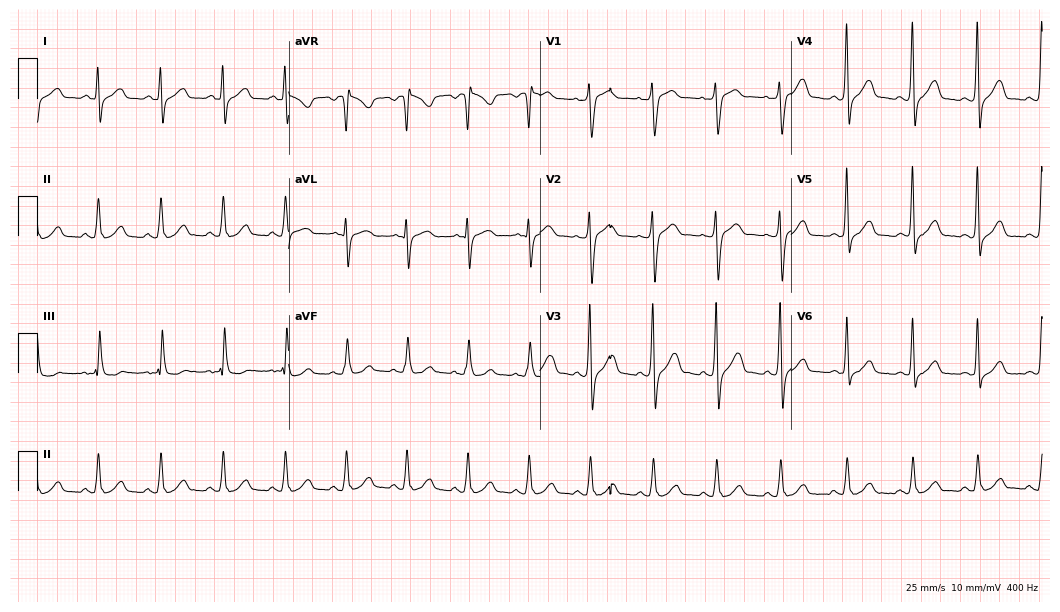
Resting 12-lead electrocardiogram (10.2-second recording at 400 Hz). Patient: a male, 41 years old. None of these six findings is recorded: first-degree AV block, right bundle branch block, left bundle branch block, sinus bradycardia, atrial fibrillation, sinus tachycardia.